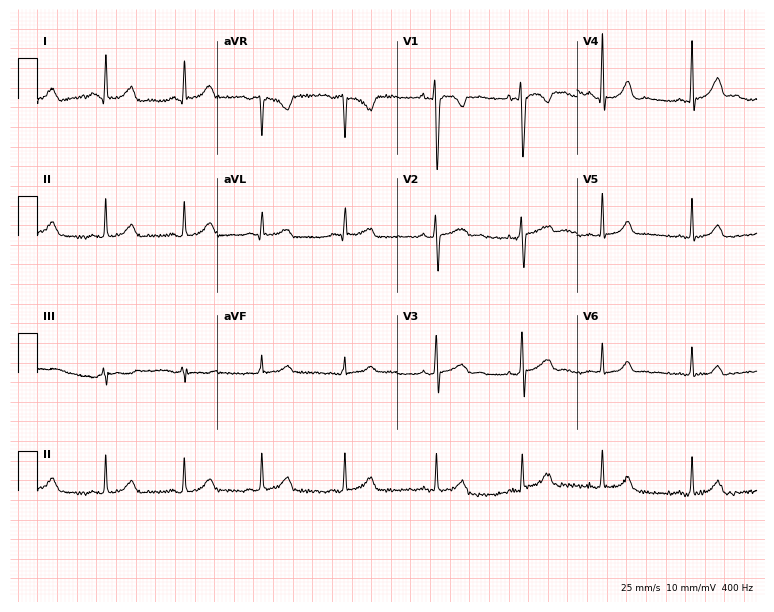
12-lead ECG (7.3-second recording at 400 Hz) from a female patient, 41 years old. Labelled as a normal ECG.